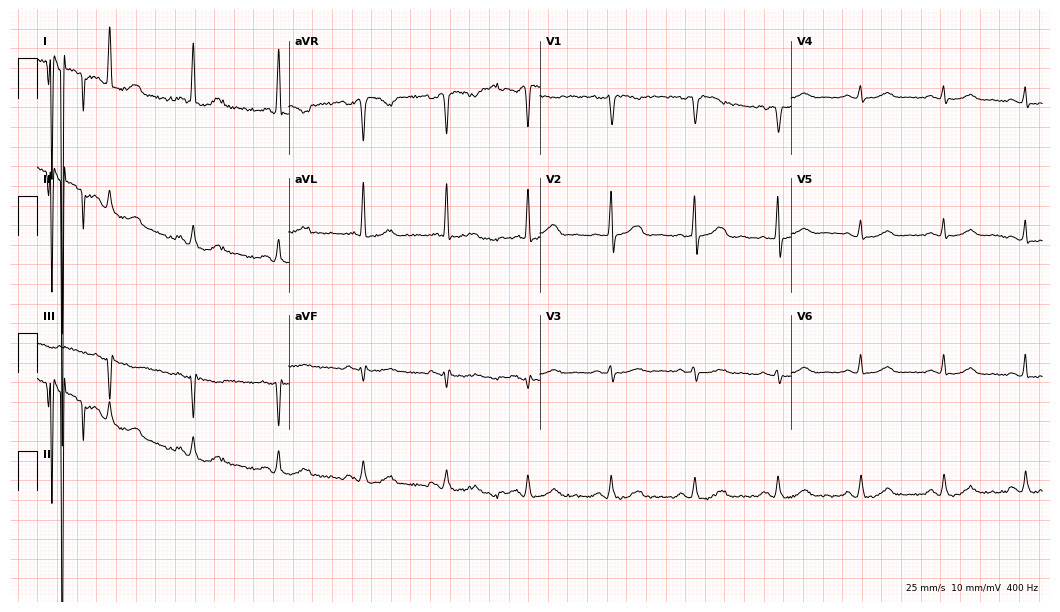
ECG — a 71-year-old female. Screened for six findings — first-degree AV block, right bundle branch block, left bundle branch block, sinus bradycardia, atrial fibrillation, sinus tachycardia — none is recorded.